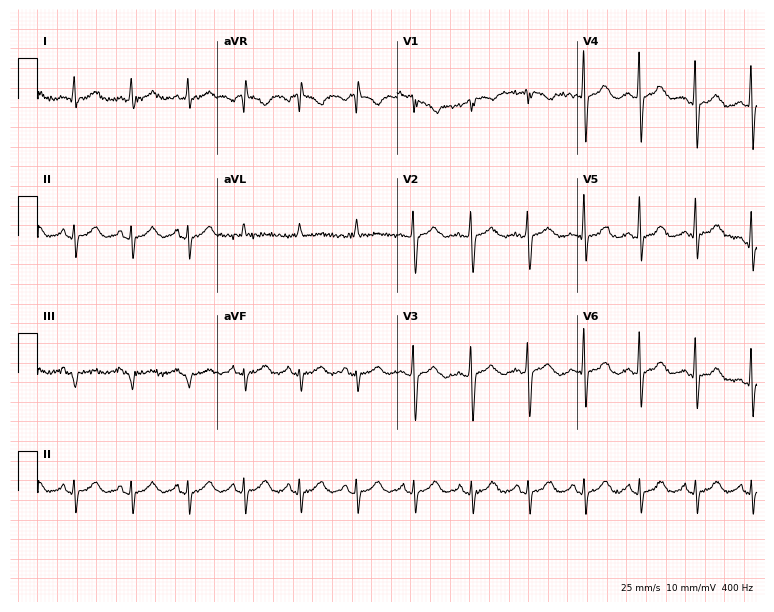
Resting 12-lead electrocardiogram (7.3-second recording at 400 Hz). Patient: a 64-year-old female. None of these six findings is recorded: first-degree AV block, right bundle branch block, left bundle branch block, sinus bradycardia, atrial fibrillation, sinus tachycardia.